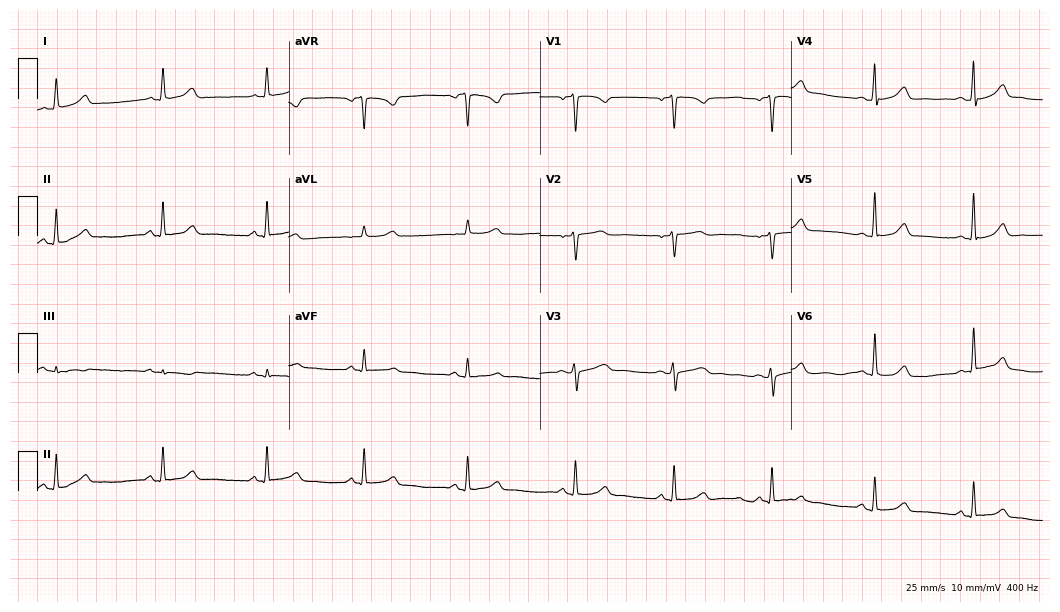
Electrocardiogram (10.2-second recording at 400 Hz), a female, 37 years old. Overall reading on record: normal ECG.